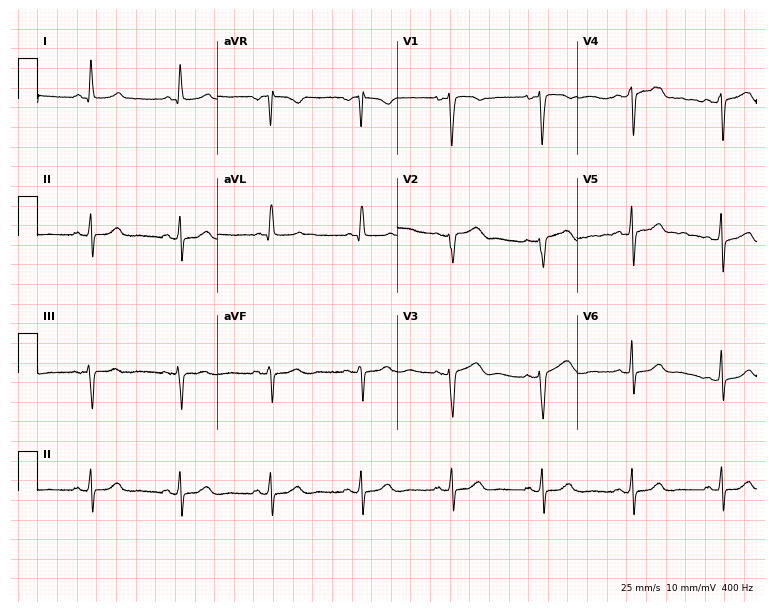
ECG (7.3-second recording at 400 Hz) — a 71-year-old female. Screened for six findings — first-degree AV block, right bundle branch block, left bundle branch block, sinus bradycardia, atrial fibrillation, sinus tachycardia — none is recorded. Findings outside these six are not listed.